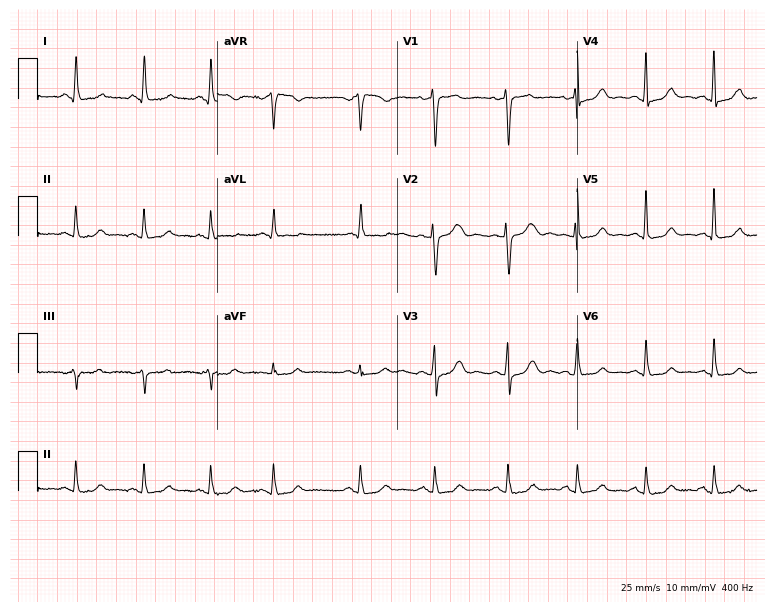
12-lead ECG from a 70-year-old female patient (7.3-second recording at 400 Hz). No first-degree AV block, right bundle branch block (RBBB), left bundle branch block (LBBB), sinus bradycardia, atrial fibrillation (AF) or sinus tachycardia recorded for this tracing. Findings outside these six are not listed.